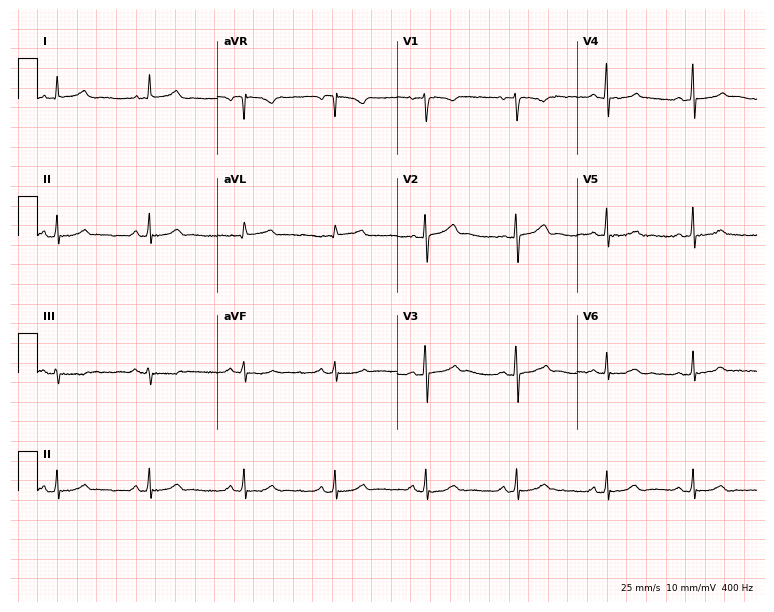
Resting 12-lead electrocardiogram. Patient: a 36-year-old female. Read as a normal ECG.